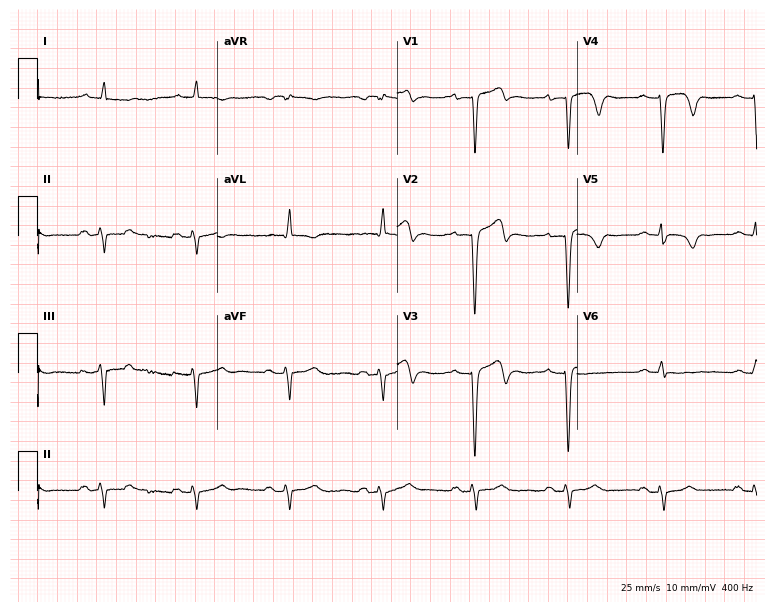
12-lead ECG (7.3-second recording at 400 Hz) from a 62-year-old man. Screened for six findings — first-degree AV block, right bundle branch block, left bundle branch block, sinus bradycardia, atrial fibrillation, sinus tachycardia — none is recorded.